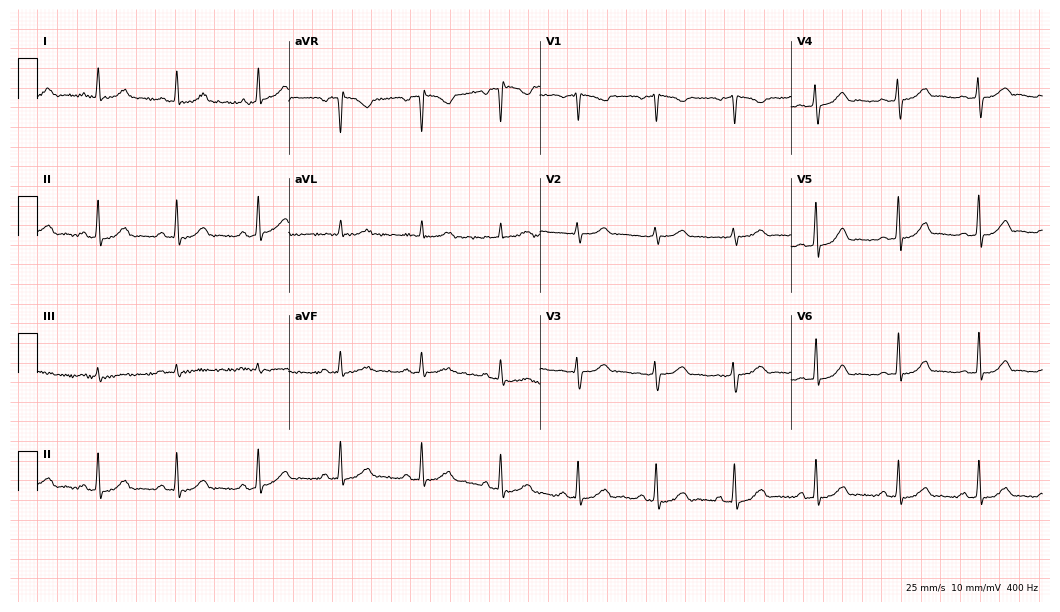
12-lead ECG from a female, 34 years old. Labelled as a normal ECG.